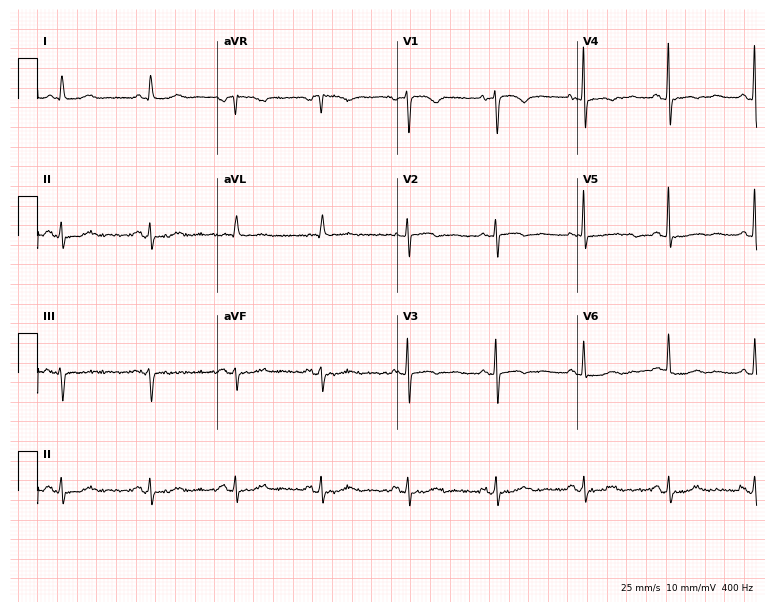
Standard 12-lead ECG recorded from a woman, 73 years old (7.3-second recording at 400 Hz). None of these six findings is recorded: first-degree AV block, right bundle branch block, left bundle branch block, sinus bradycardia, atrial fibrillation, sinus tachycardia.